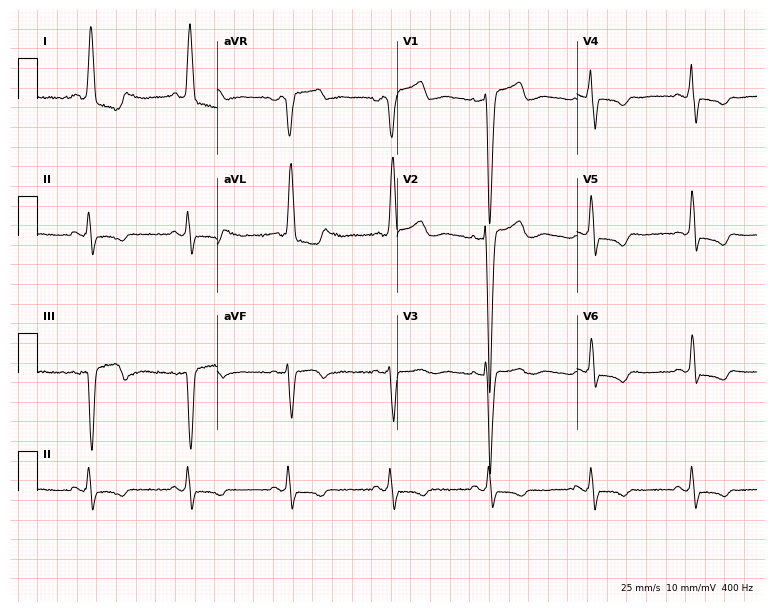
Electrocardiogram (7.3-second recording at 400 Hz), an 80-year-old female patient. Interpretation includes left bundle branch block (LBBB).